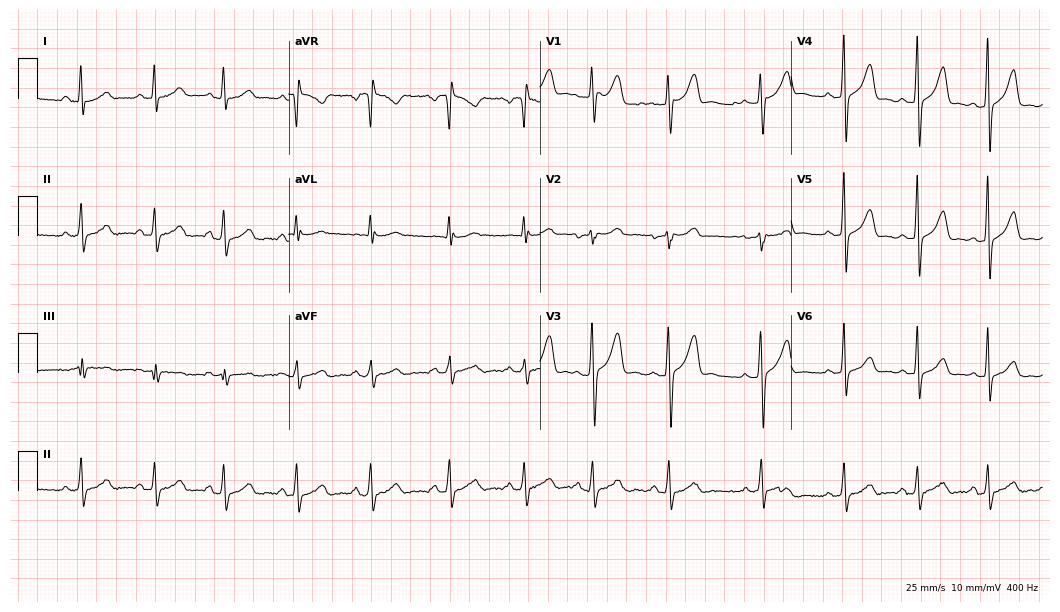
Standard 12-lead ECG recorded from a female, 19 years old (10.2-second recording at 400 Hz). Read as a normal ECG.